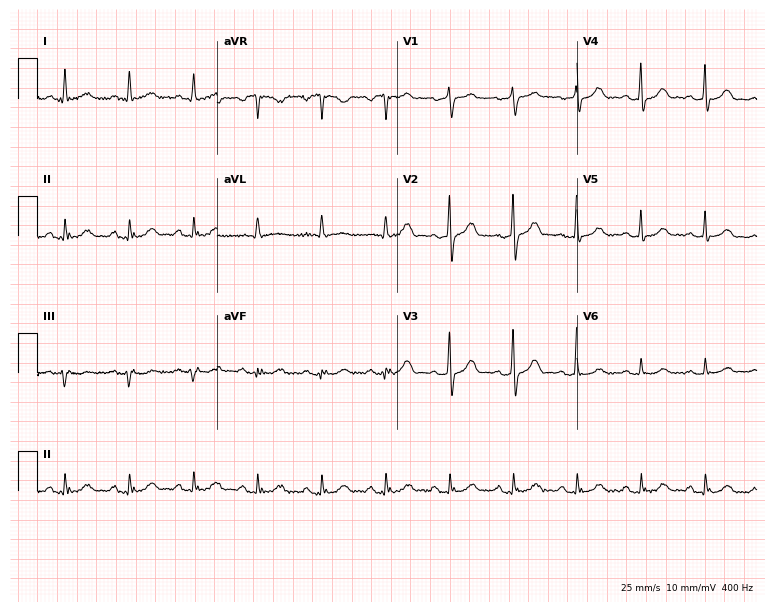
12-lead ECG from a 67-year-old female patient. Screened for six findings — first-degree AV block, right bundle branch block, left bundle branch block, sinus bradycardia, atrial fibrillation, sinus tachycardia — none is recorded. Other findings, if any, are not listed.